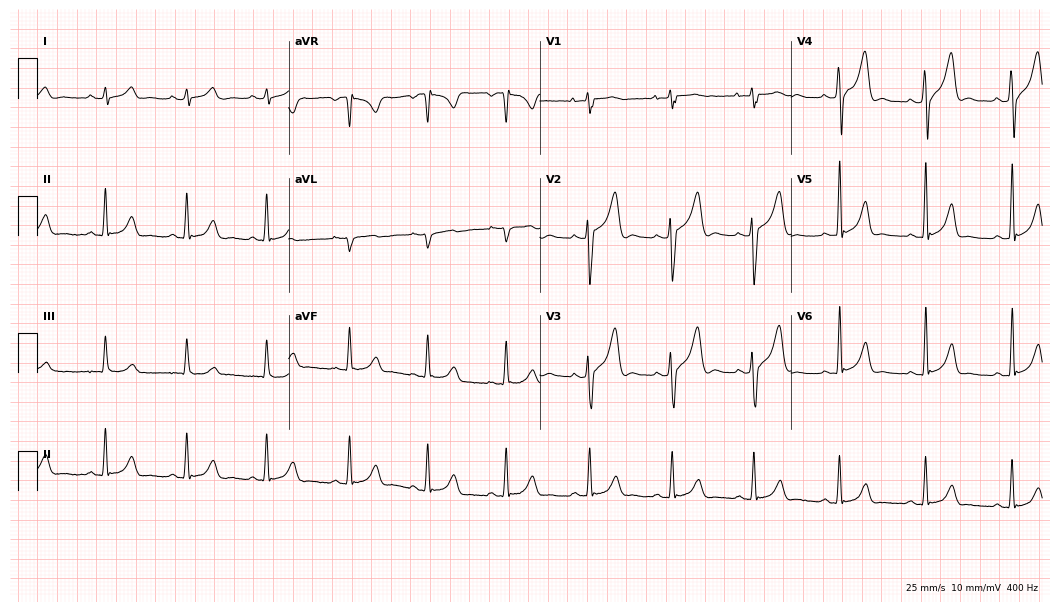
ECG (10.2-second recording at 400 Hz) — a male, 20 years old. Screened for six findings — first-degree AV block, right bundle branch block (RBBB), left bundle branch block (LBBB), sinus bradycardia, atrial fibrillation (AF), sinus tachycardia — none is recorded. Other findings, if any, are not listed.